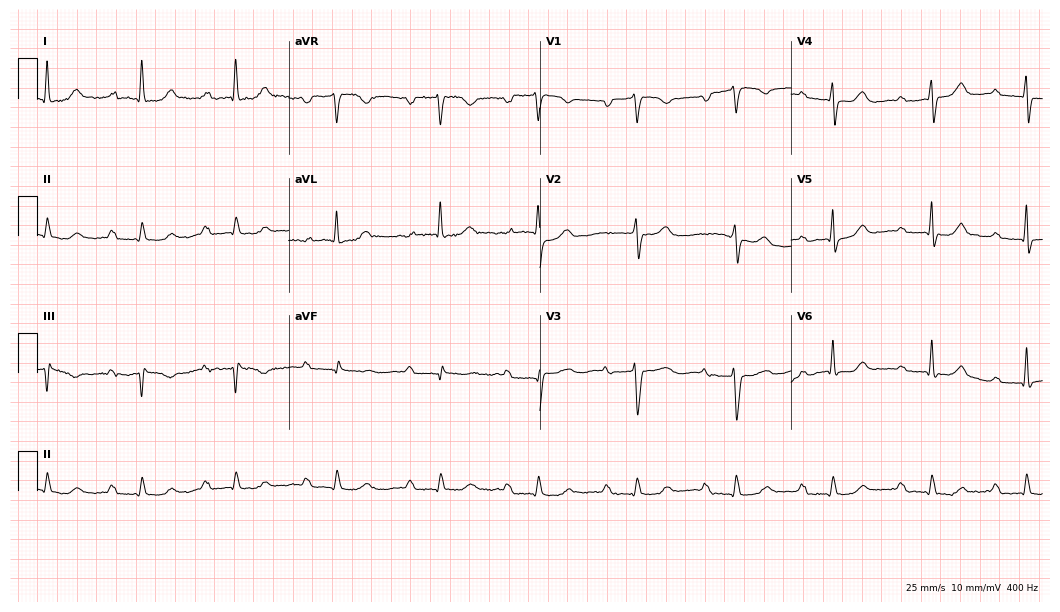
12-lead ECG from a female patient, 63 years old. Shows first-degree AV block.